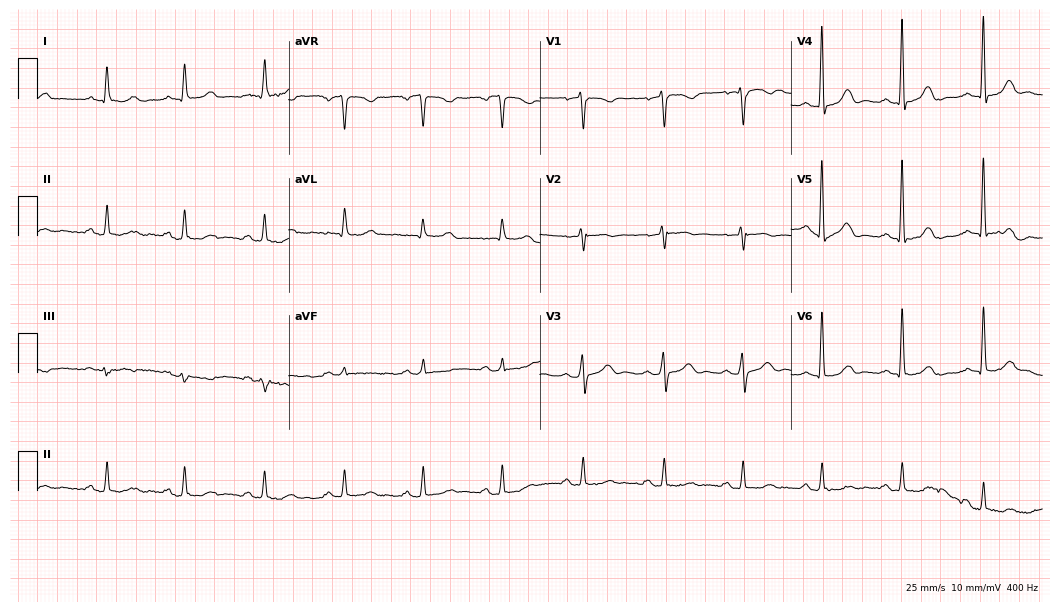
Resting 12-lead electrocardiogram. Patient: a female, 64 years old. Read as a normal ECG.